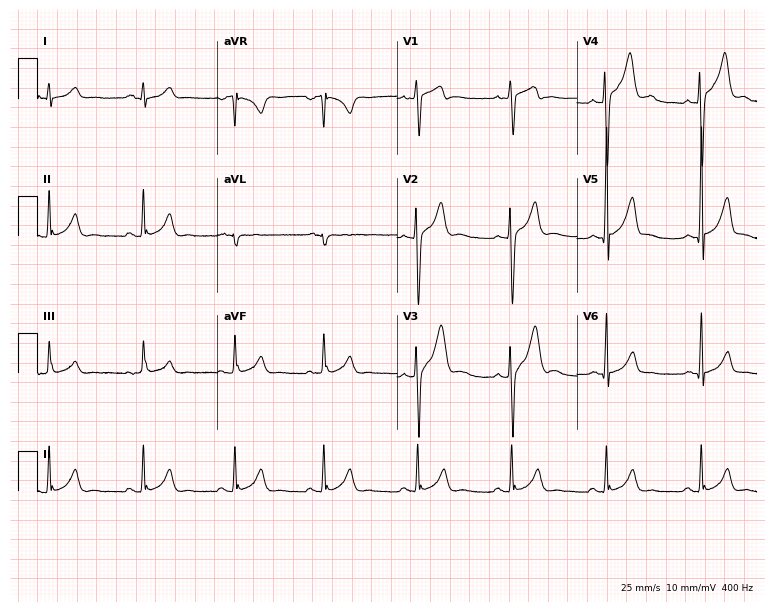
12-lead ECG from a man, 27 years old (7.3-second recording at 400 Hz). No first-degree AV block, right bundle branch block (RBBB), left bundle branch block (LBBB), sinus bradycardia, atrial fibrillation (AF) or sinus tachycardia recorded for this tracing. Findings outside these six are not listed.